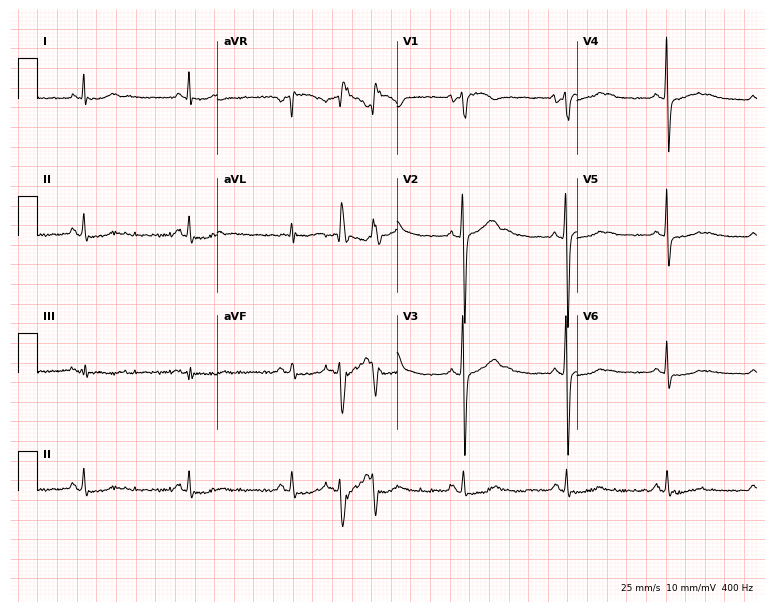
ECG — a male, 42 years old. Screened for six findings — first-degree AV block, right bundle branch block, left bundle branch block, sinus bradycardia, atrial fibrillation, sinus tachycardia — none is recorded.